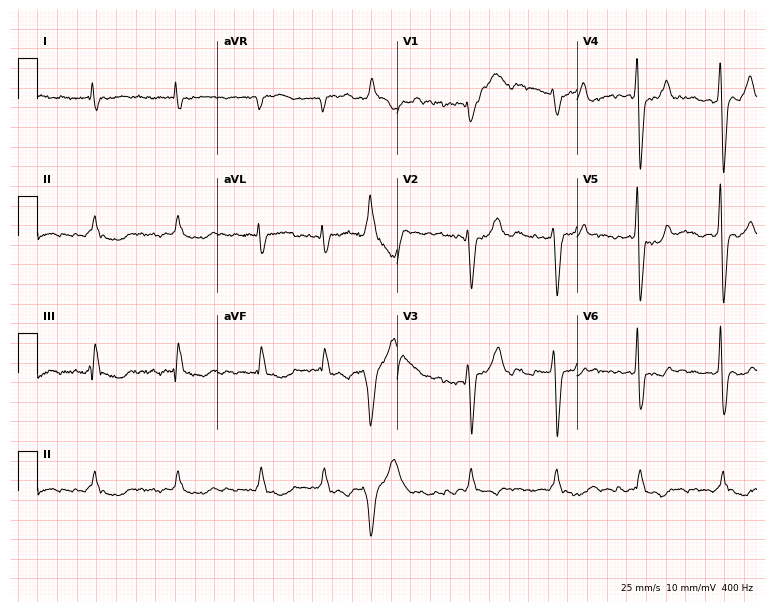
12-lead ECG from a man, 43 years old. Shows atrial fibrillation (AF).